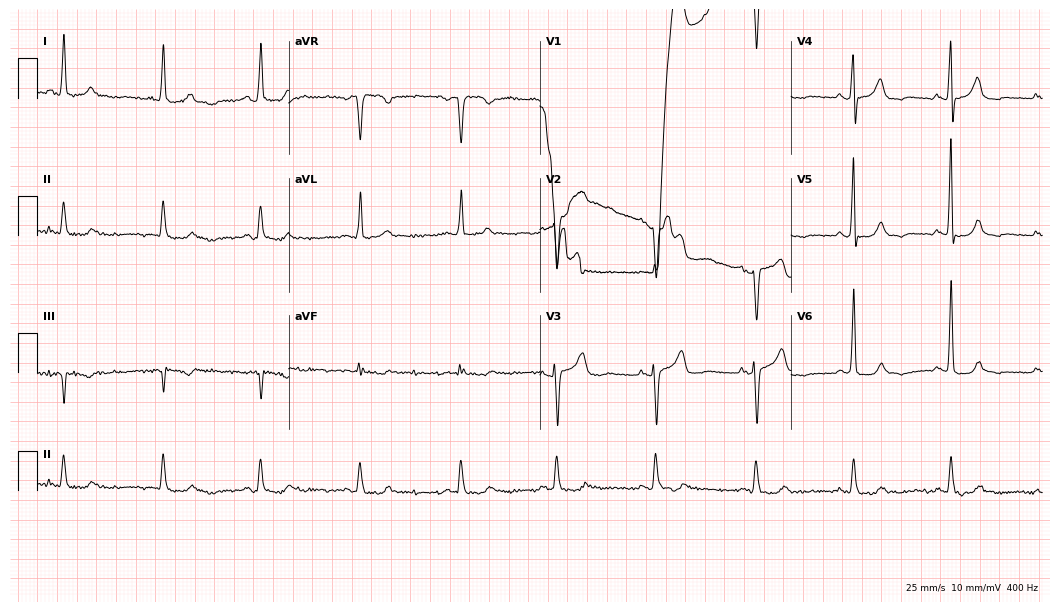
12-lead ECG (10.2-second recording at 400 Hz) from a female, 81 years old. Screened for six findings — first-degree AV block, right bundle branch block, left bundle branch block, sinus bradycardia, atrial fibrillation, sinus tachycardia — none is recorded.